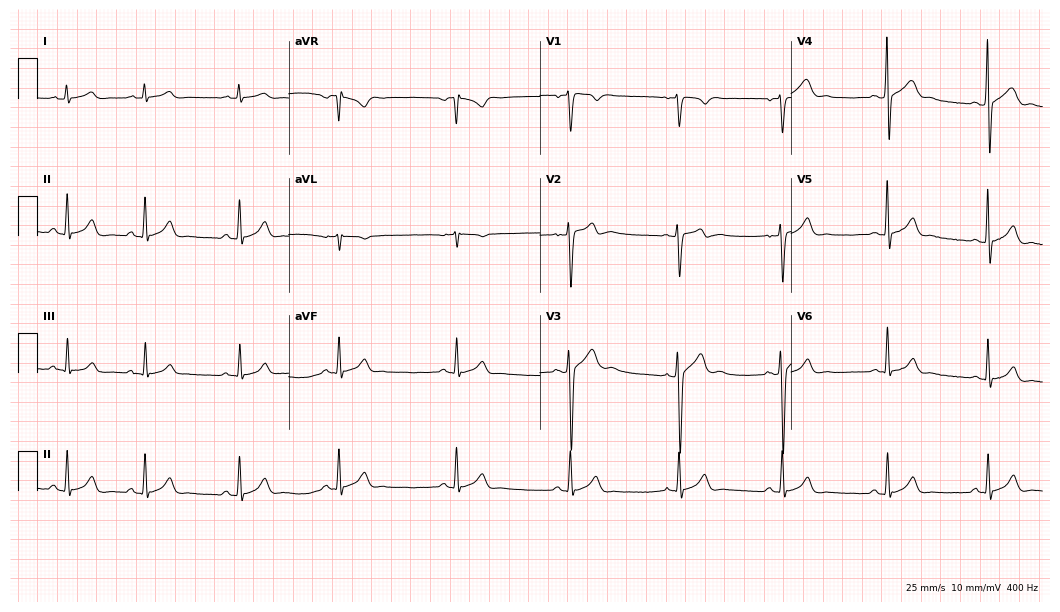
Resting 12-lead electrocardiogram (10.2-second recording at 400 Hz). Patient: a male, 20 years old. None of these six findings is recorded: first-degree AV block, right bundle branch block, left bundle branch block, sinus bradycardia, atrial fibrillation, sinus tachycardia. Only these six findings were labelled.